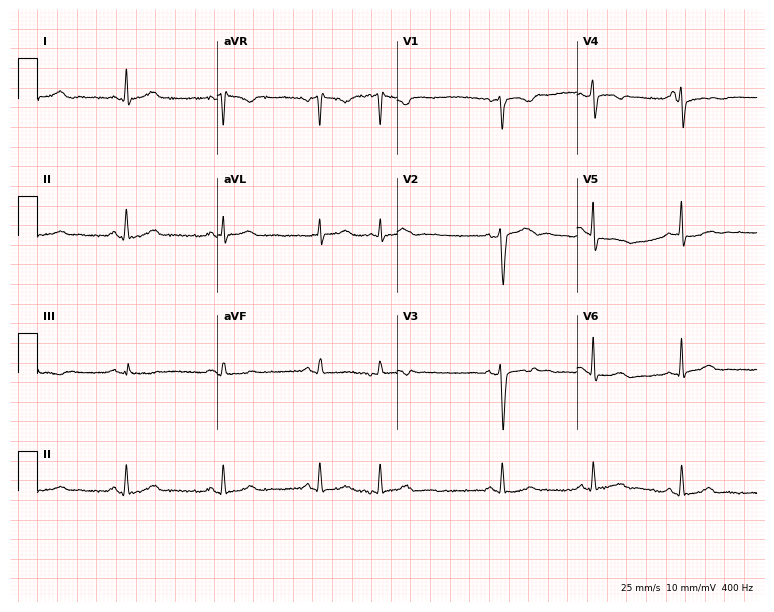
ECG (7.3-second recording at 400 Hz) — a 34-year-old woman. Screened for six findings — first-degree AV block, right bundle branch block (RBBB), left bundle branch block (LBBB), sinus bradycardia, atrial fibrillation (AF), sinus tachycardia — none is recorded. Findings outside these six are not listed.